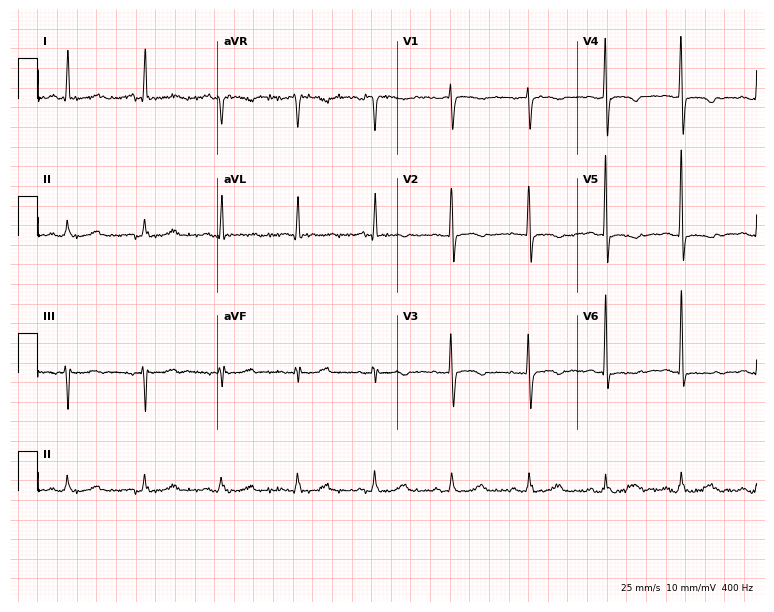
Standard 12-lead ECG recorded from an 81-year-old female (7.3-second recording at 400 Hz). None of these six findings is recorded: first-degree AV block, right bundle branch block, left bundle branch block, sinus bradycardia, atrial fibrillation, sinus tachycardia. Only these six findings were labelled.